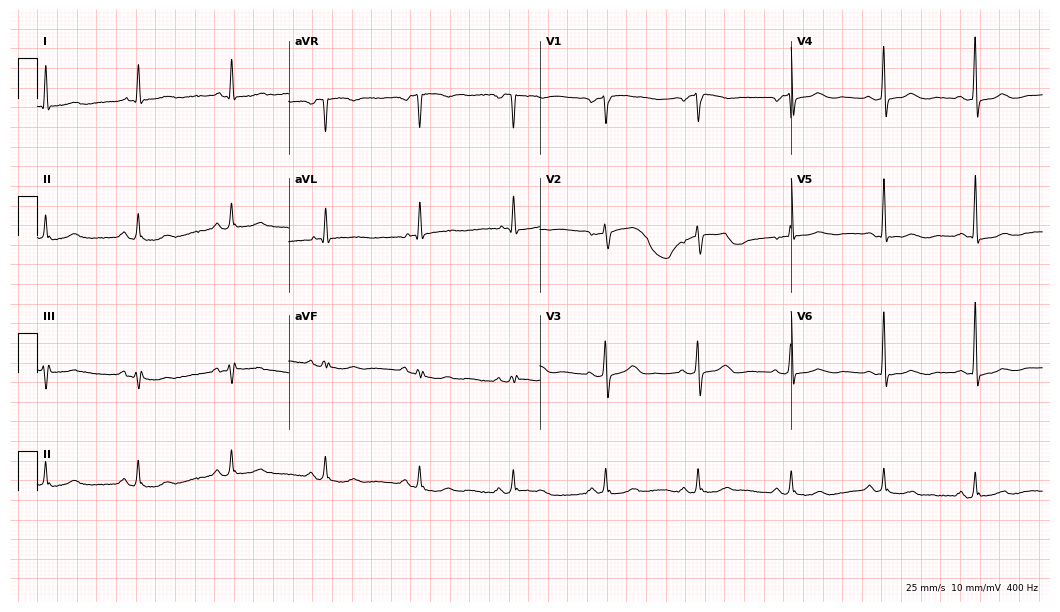
Resting 12-lead electrocardiogram. Patient: a 76-year-old woman. None of these six findings is recorded: first-degree AV block, right bundle branch block, left bundle branch block, sinus bradycardia, atrial fibrillation, sinus tachycardia.